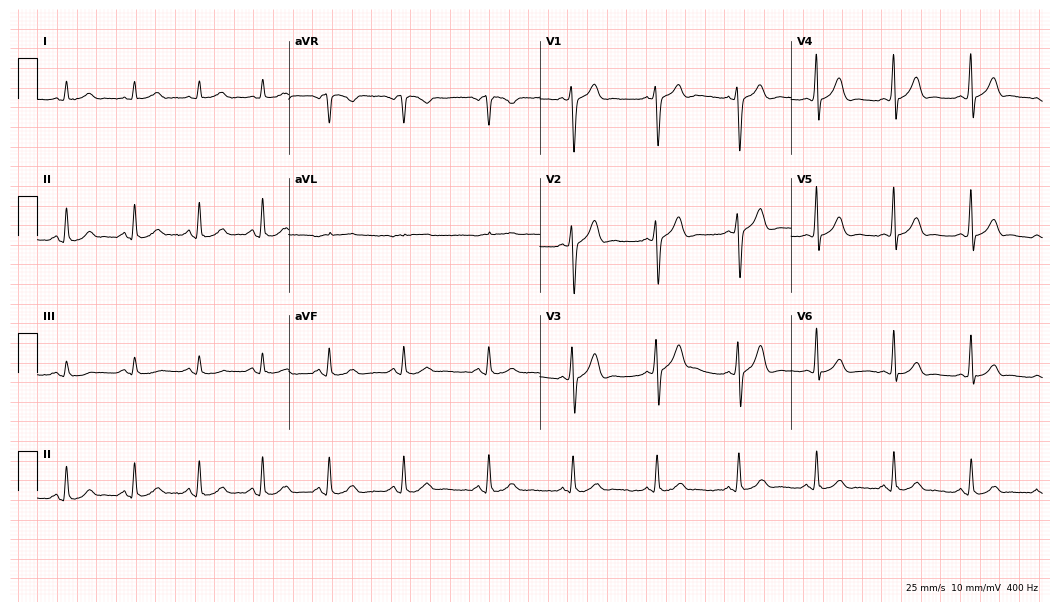
ECG (10.2-second recording at 400 Hz) — a 39-year-old male. Screened for six findings — first-degree AV block, right bundle branch block, left bundle branch block, sinus bradycardia, atrial fibrillation, sinus tachycardia — none is recorded.